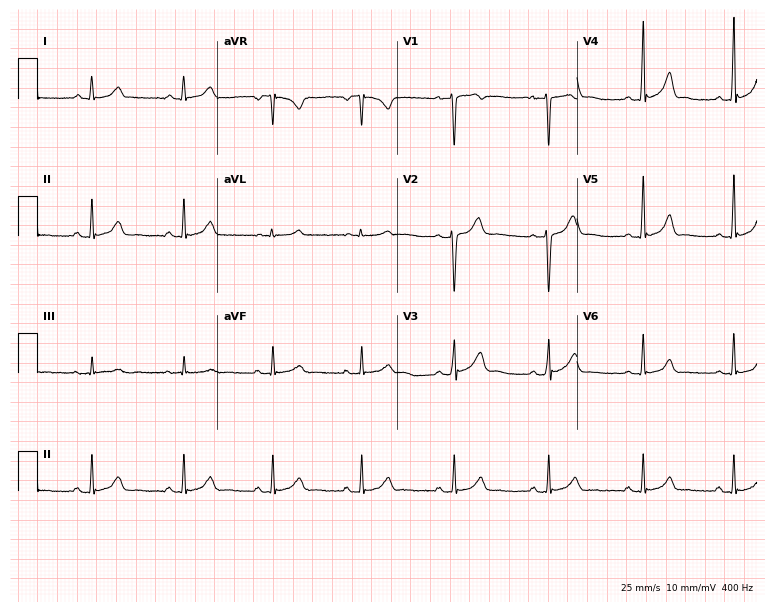
Electrocardiogram (7.3-second recording at 400 Hz), a female, 33 years old. Overall reading on record: normal ECG.